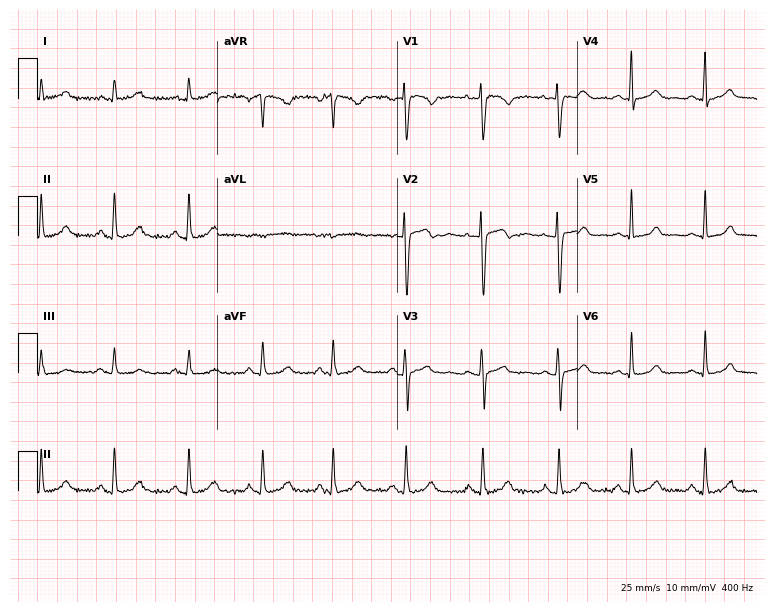
12-lead ECG from a woman, 34 years old. No first-degree AV block, right bundle branch block (RBBB), left bundle branch block (LBBB), sinus bradycardia, atrial fibrillation (AF) or sinus tachycardia recorded for this tracing. Other findings, if any, are not listed.